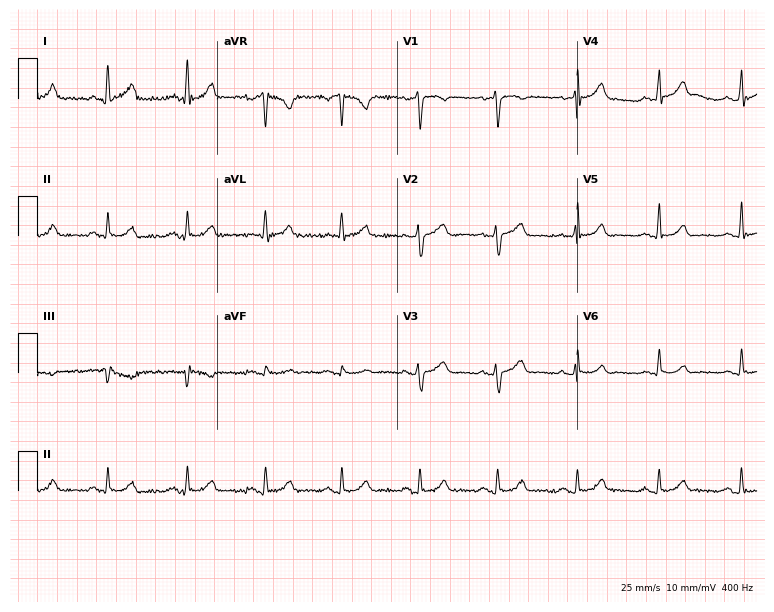
12-lead ECG from a 48-year-old female patient. No first-degree AV block, right bundle branch block (RBBB), left bundle branch block (LBBB), sinus bradycardia, atrial fibrillation (AF) or sinus tachycardia recorded for this tracing.